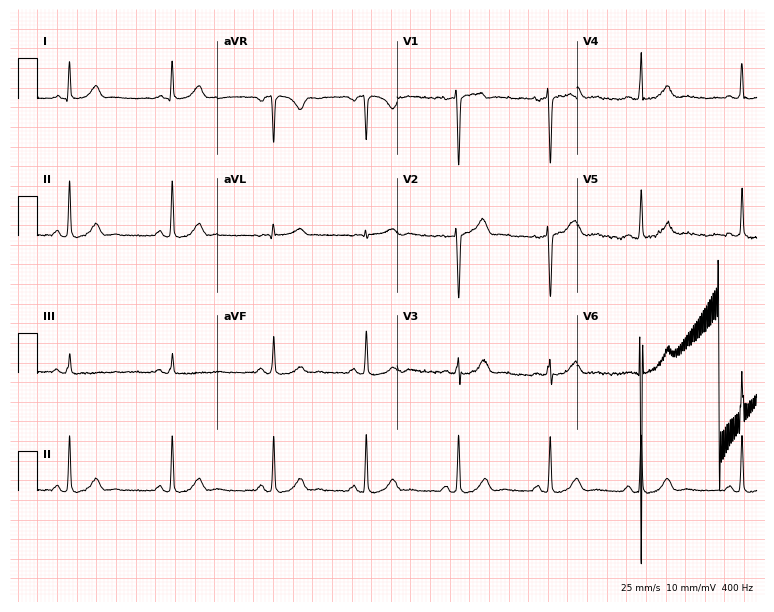
ECG (7.3-second recording at 400 Hz) — a 47-year-old female. Labelled as a normal ECG.